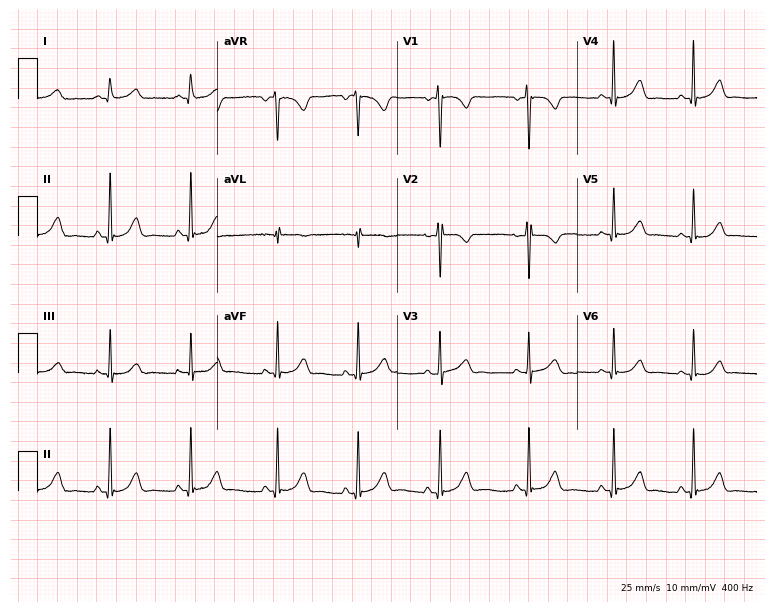
ECG — a woman, 19 years old. Screened for six findings — first-degree AV block, right bundle branch block, left bundle branch block, sinus bradycardia, atrial fibrillation, sinus tachycardia — none is recorded. Other findings, if any, are not listed.